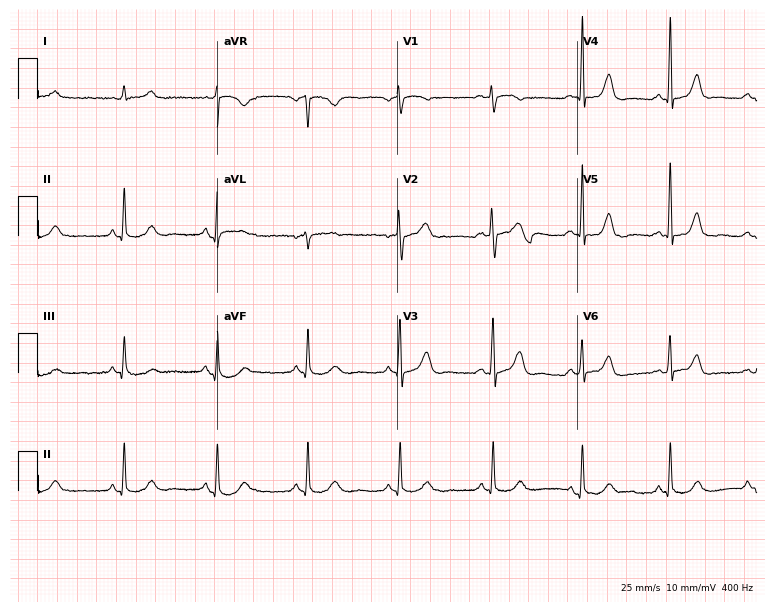
Standard 12-lead ECG recorded from a woman, 61 years old (7.3-second recording at 400 Hz). Read as a normal ECG.